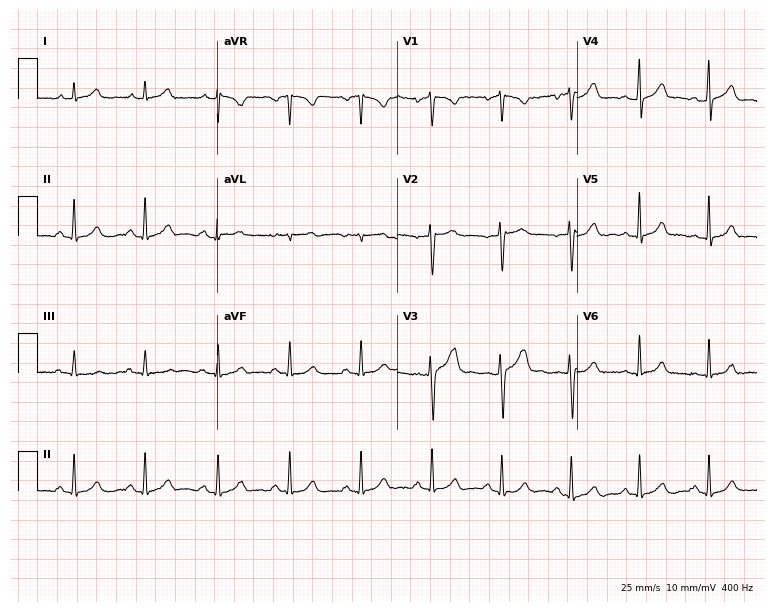
Electrocardiogram, a female patient, 24 years old. Of the six screened findings (first-degree AV block, right bundle branch block, left bundle branch block, sinus bradycardia, atrial fibrillation, sinus tachycardia), none is recorded. Only these six findings were labelled.